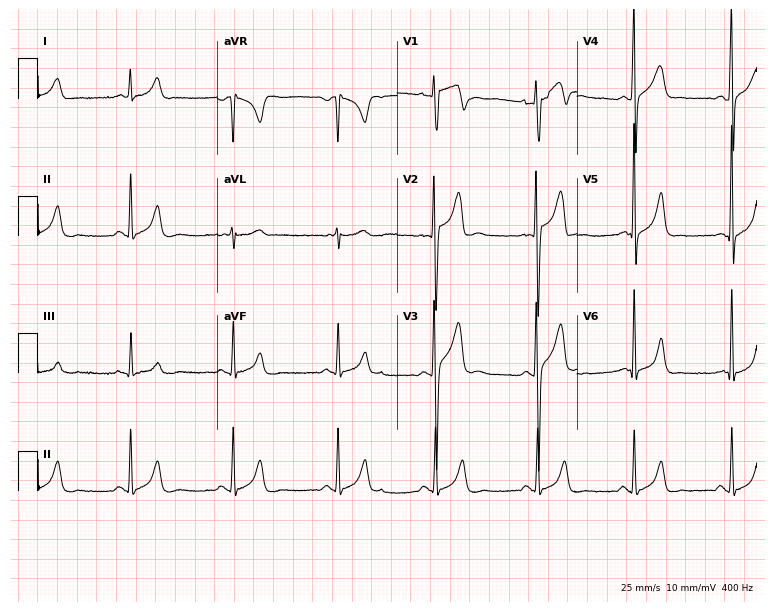
12-lead ECG from a 20-year-old male (7.3-second recording at 400 Hz). Recorded interpretation: within normal limits.